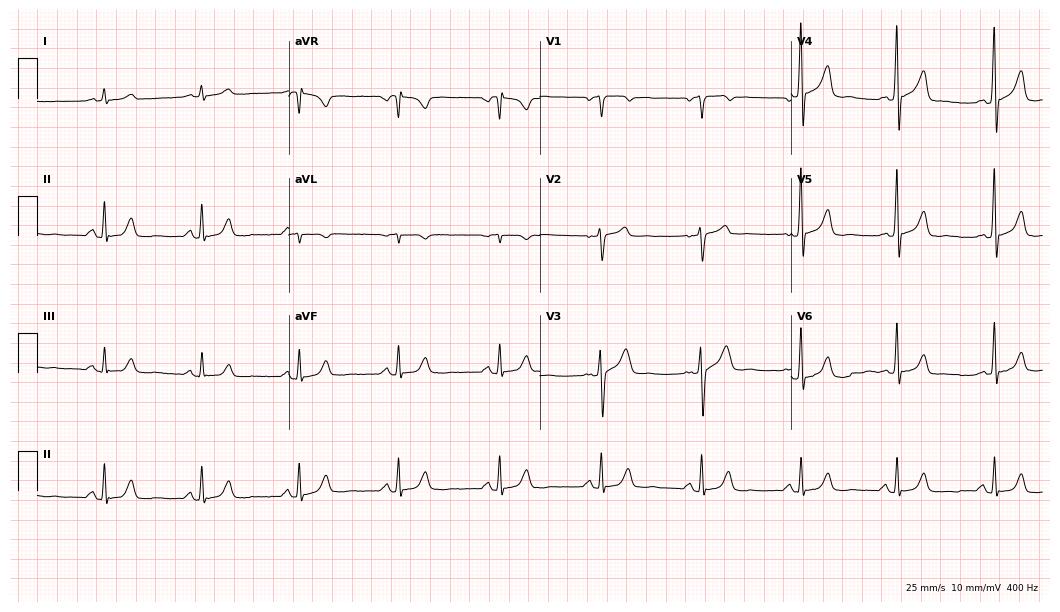
12-lead ECG from a male, 61 years old. Labelled as a normal ECG.